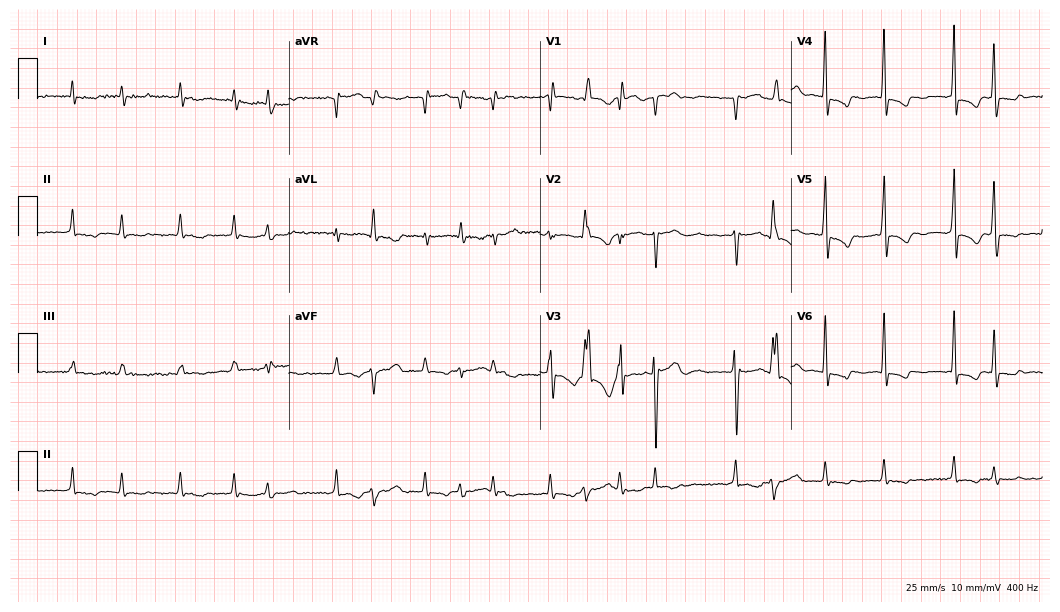
Electrocardiogram, a 76-year-old male. Interpretation includes atrial fibrillation (AF).